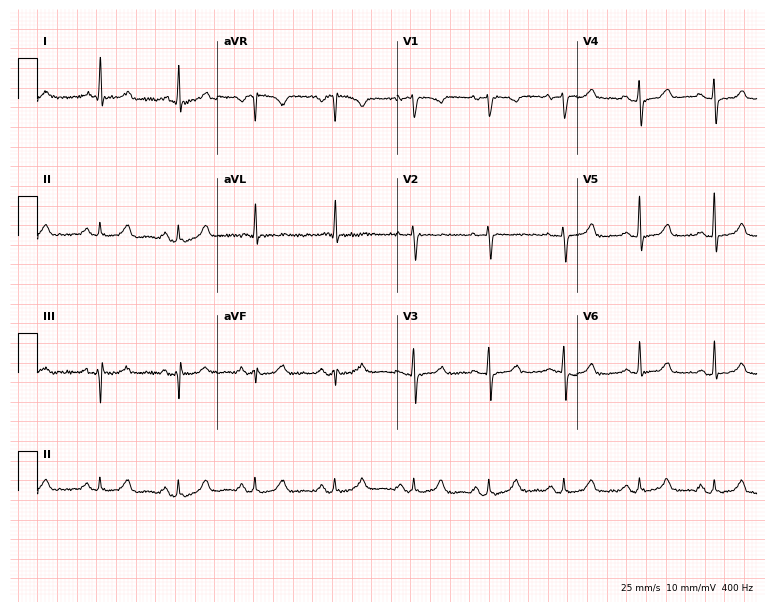
Electrocardiogram, a 63-year-old female patient. Of the six screened findings (first-degree AV block, right bundle branch block, left bundle branch block, sinus bradycardia, atrial fibrillation, sinus tachycardia), none is recorded.